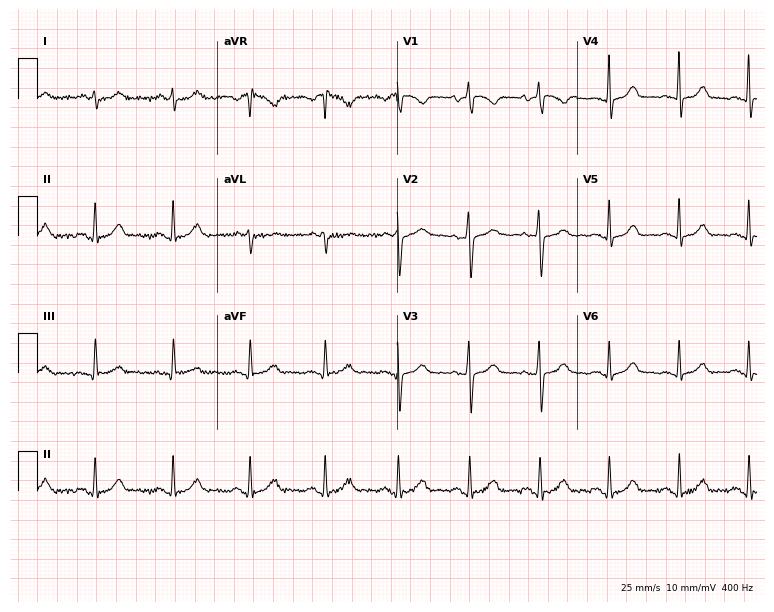
ECG — a 62-year-old female. Screened for six findings — first-degree AV block, right bundle branch block, left bundle branch block, sinus bradycardia, atrial fibrillation, sinus tachycardia — none is recorded.